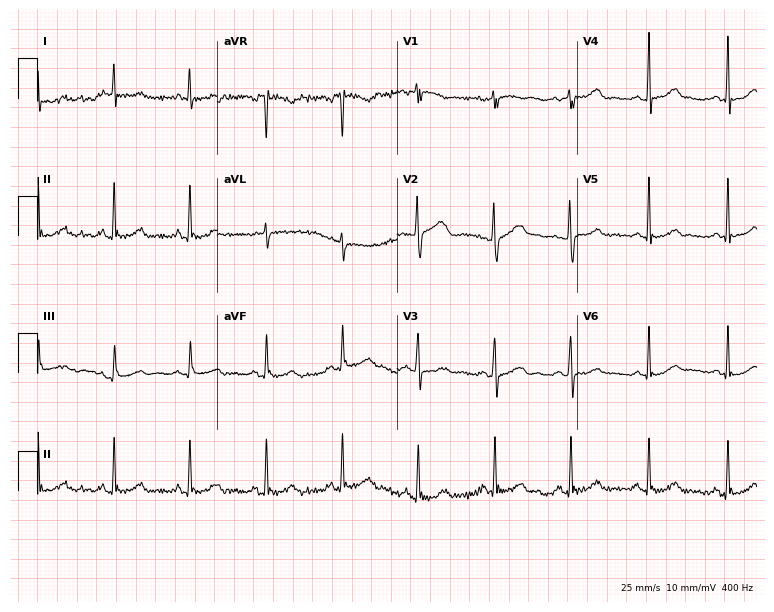
12-lead ECG from a 59-year-old female patient (7.3-second recording at 400 Hz). Recorded interpretation: within normal limits.